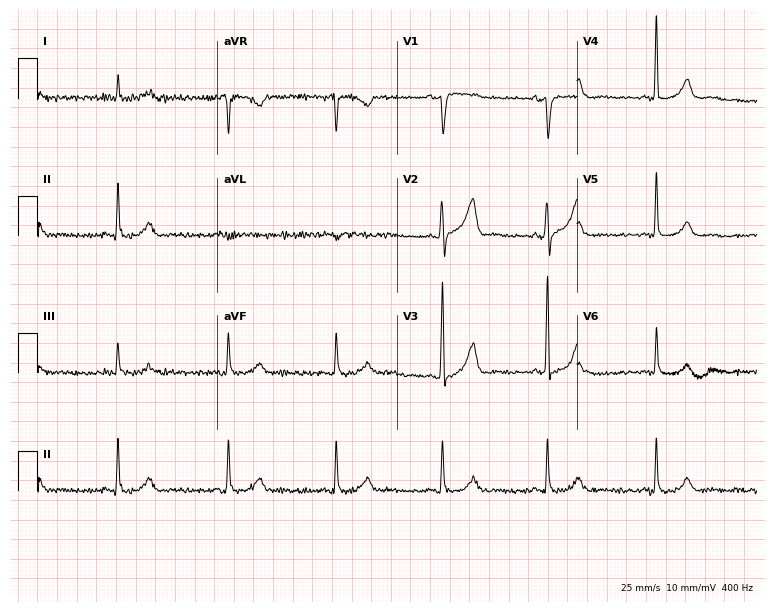
Electrocardiogram, a 70-year-old man. Overall reading on record: normal ECG.